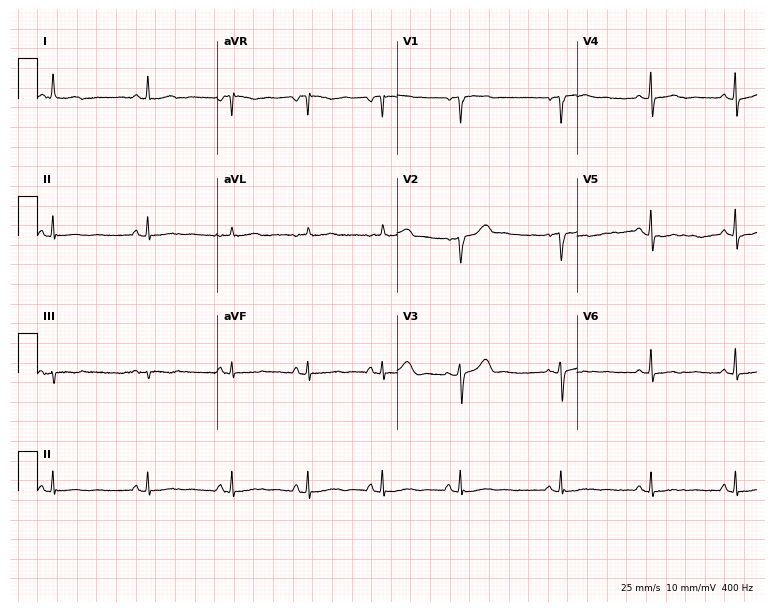
ECG (7.3-second recording at 400 Hz) — a female, 54 years old. Screened for six findings — first-degree AV block, right bundle branch block (RBBB), left bundle branch block (LBBB), sinus bradycardia, atrial fibrillation (AF), sinus tachycardia — none is recorded.